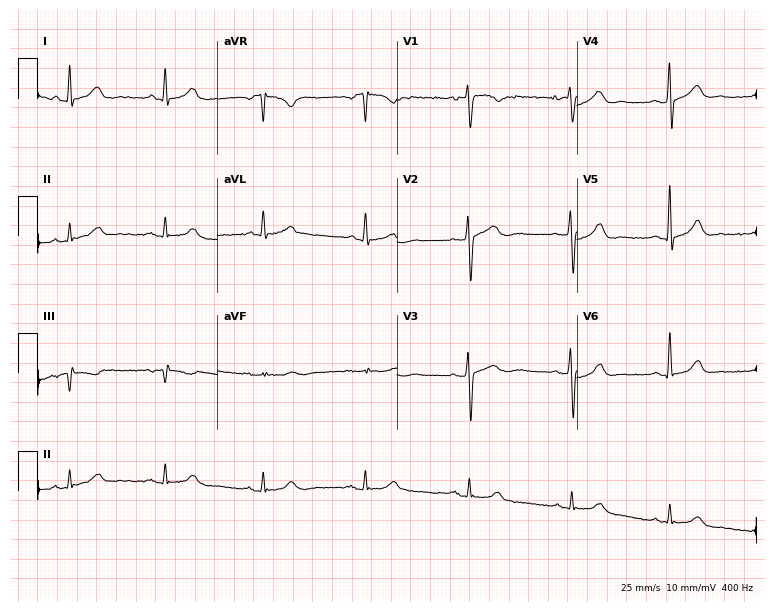
Resting 12-lead electrocardiogram. Patient: a 54-year-old female. None of these six findings is recorded: first-degree AV block, right bundle branch block, left bundle branch block, sinus bradycardia, atrial fibrillation, sinus tachycardia.